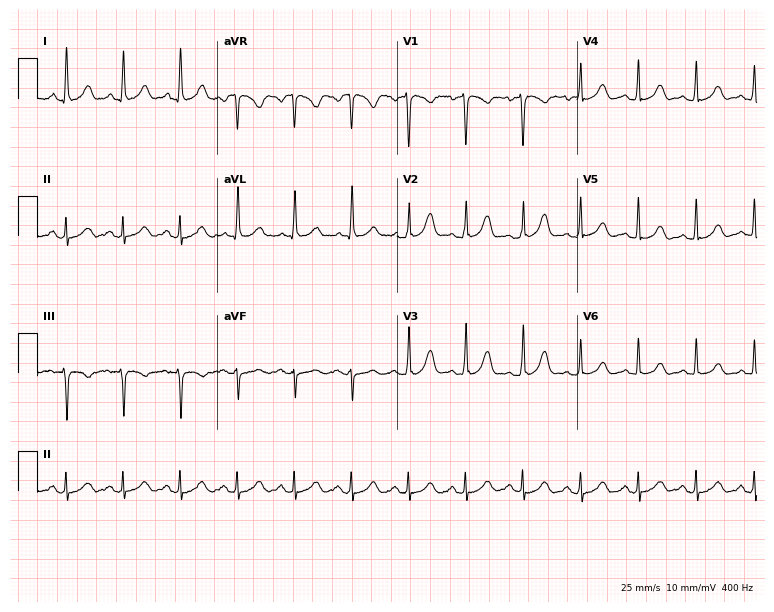
ECG — a 48-year-old female. Findings include sinus tachycardia (a sinus rate of 100 beats per minute or more).